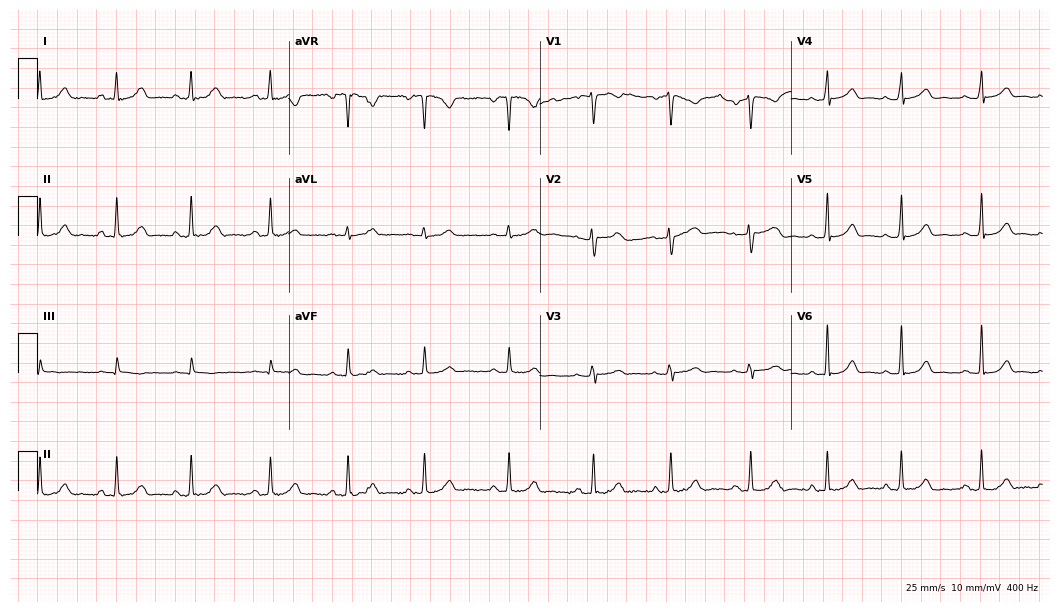
12-lead ECG (10.2-second recording at 400 Hz) from a female patient, 28 years old. Labelled as a normal ECG.